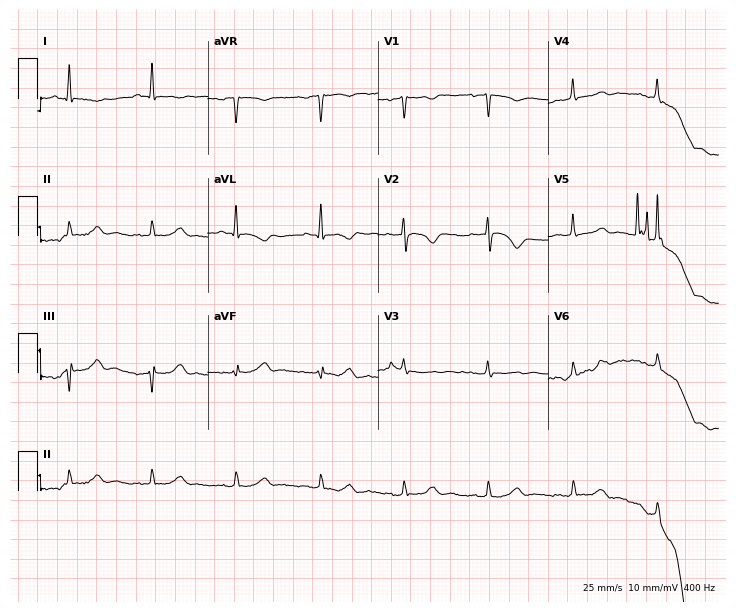
12-lead ECG from a female, 80 years old. No first-degree AV block, right bundle branch block, left bundle branch block, sinus bradycardia, atrial fibrillation or sinus tachycardia recorded for this tracing.